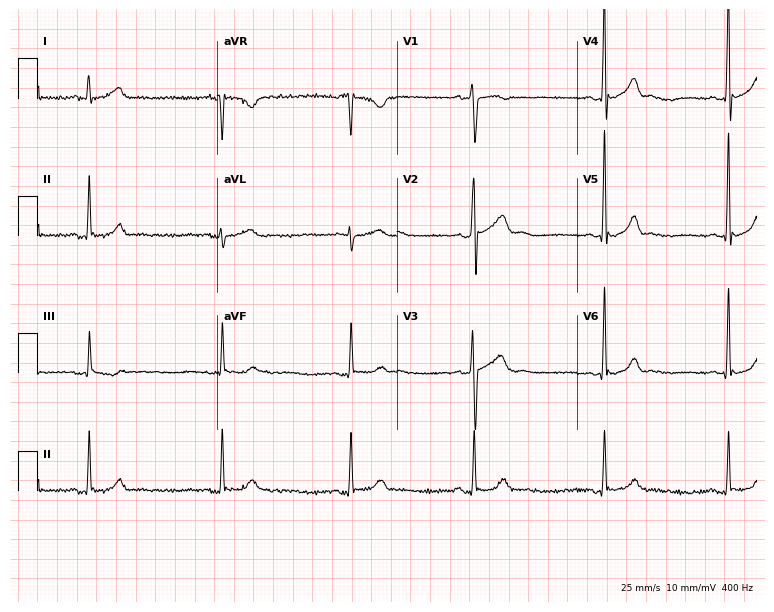
ECG — a male patient, 30 years old. Findings include sinus bradycardia (a sinus rate of 50 beats per minute or less).